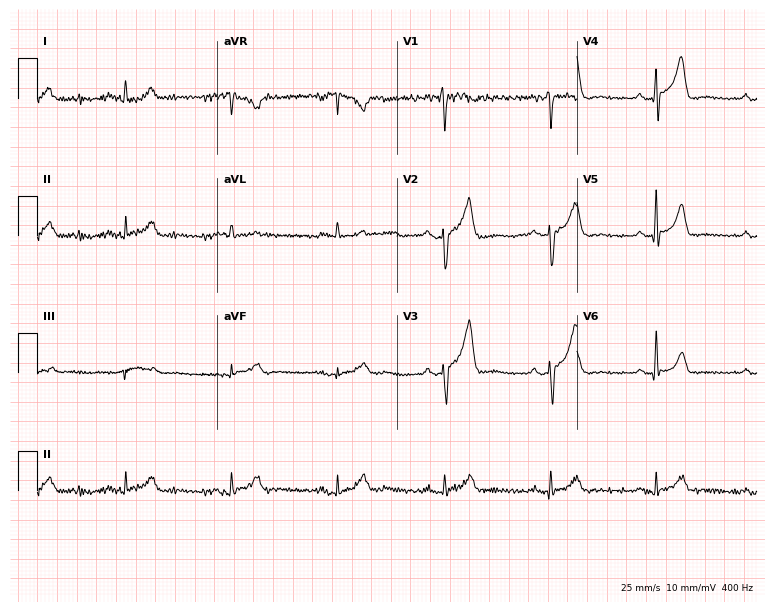
Electrocardiogram (7.3-second recording at 400 Hz), a 52-year-old male patient. Overall reading on record: normal ECG.